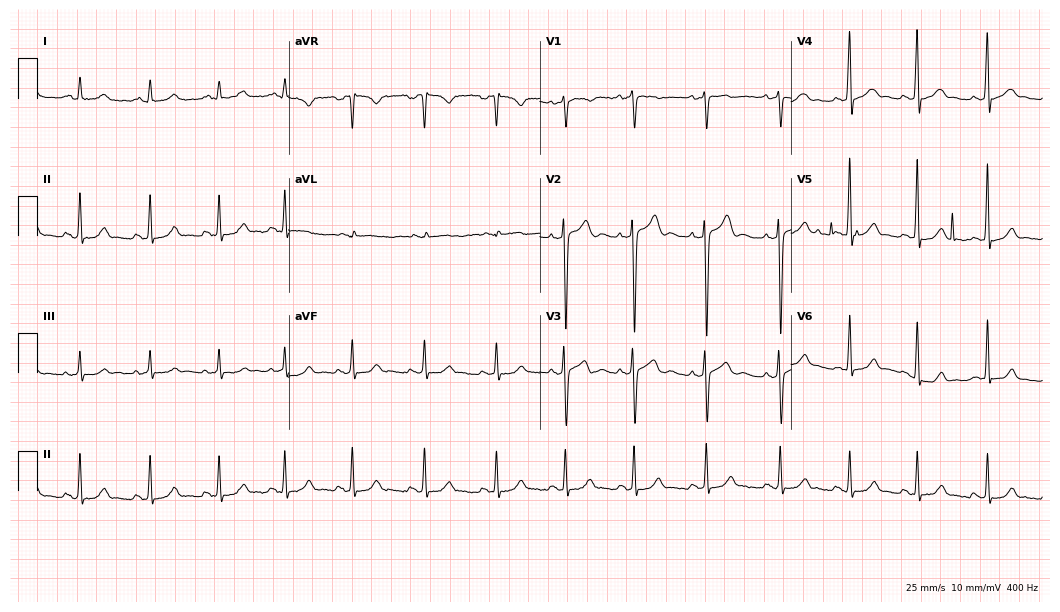
Resting 12-lead electrocardiogram. Patient: a 22-year-old male. Read as a normal ECG.